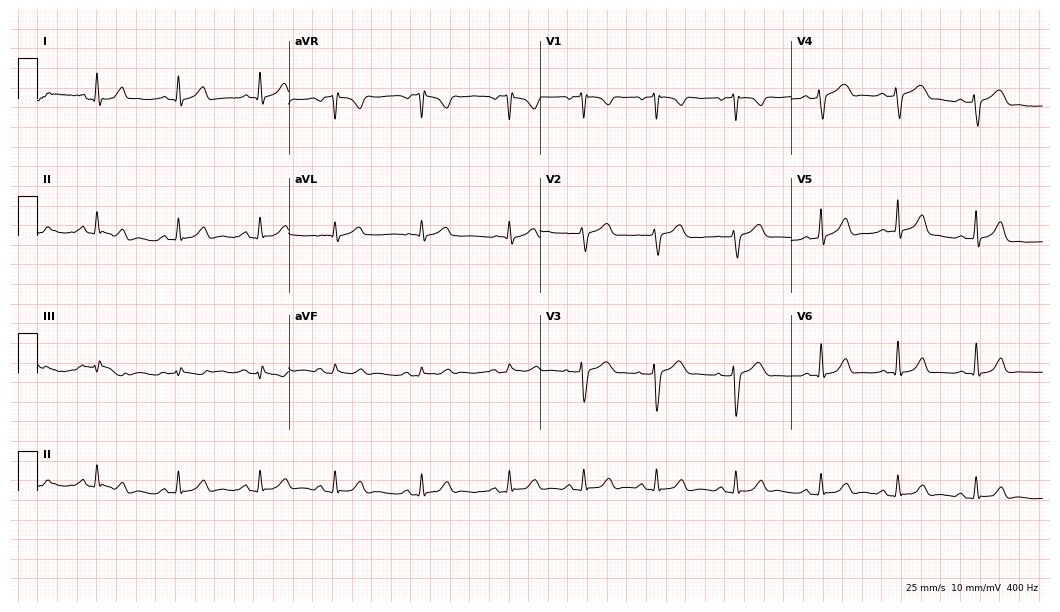
12-lead ECG from a 20-year-old female. Labelled as a normal ECG.